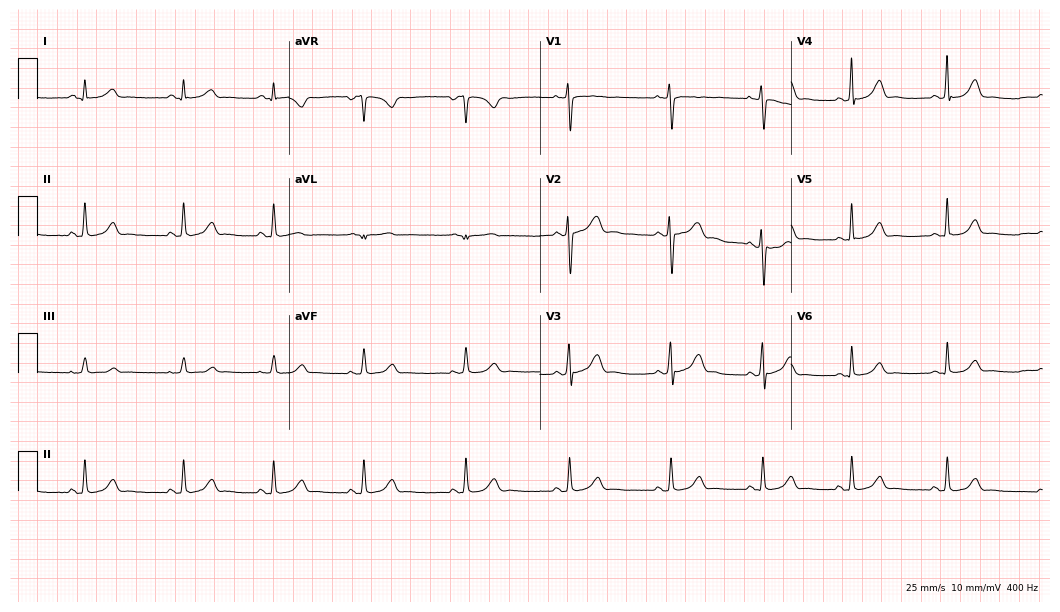
12-lead ECG from a woman, 23 years old. Recorded interpretation: within normal limits.